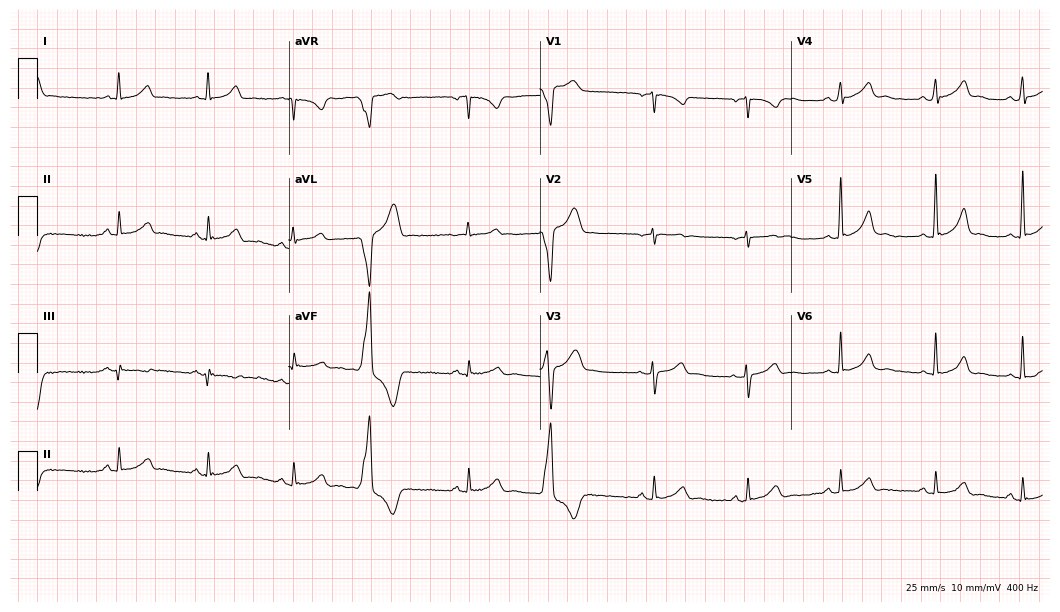
12-lead ECG from a female, 32 years old (10.2-second recording at 400 Hz). No first-degree AV block, right bundle branch block, left bundle branch block, sinus bradycardia, atrial fibrillation or sinus tachycardia recorded for this tracing. Other findings, if any, are not listed.